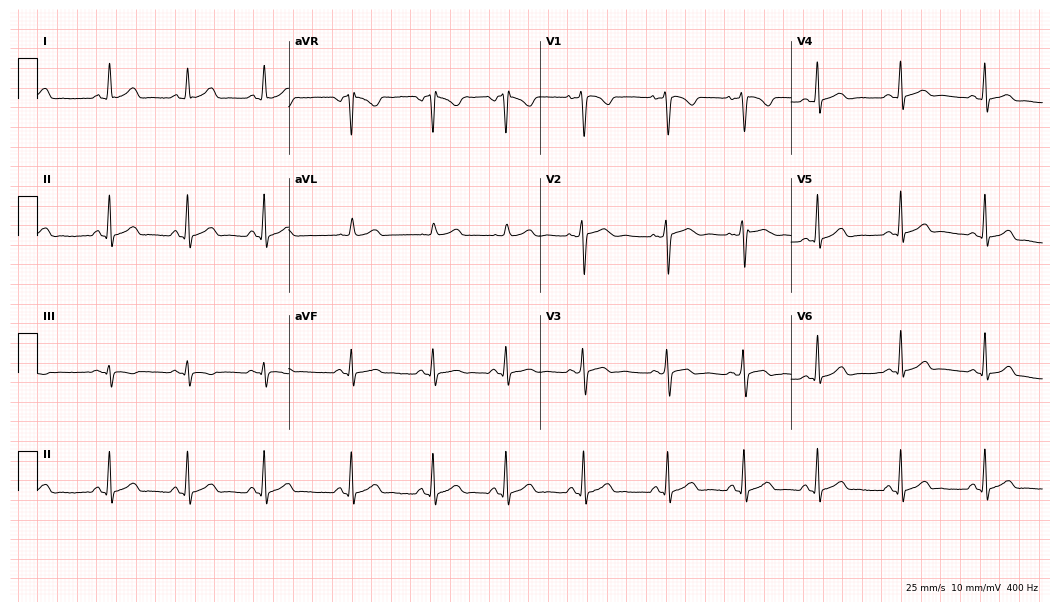
ECG (10.2-second recording at 400 Hz) — a woman, 38 years old. Labelled as a normal ECG.